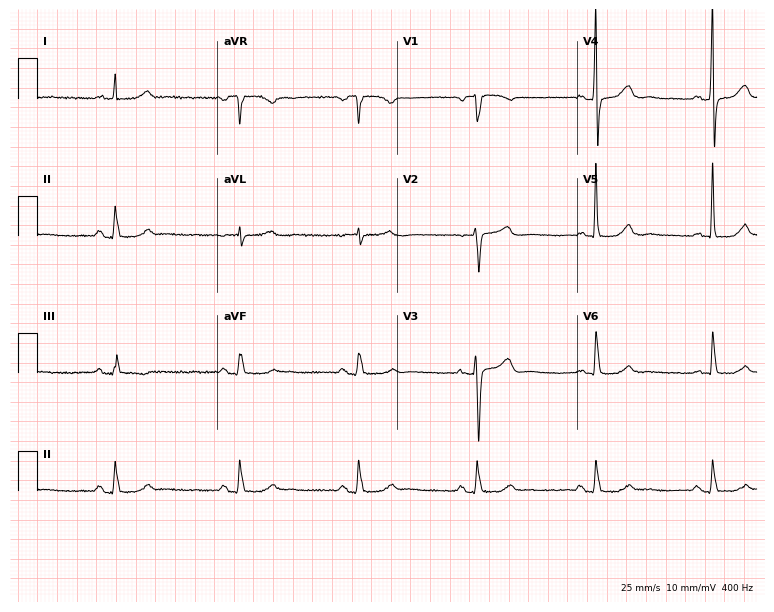
12-lead ECG from a female, 71 years old. Findings include sinus bradycardia (a sinus rate of 50 beats per minute or less).